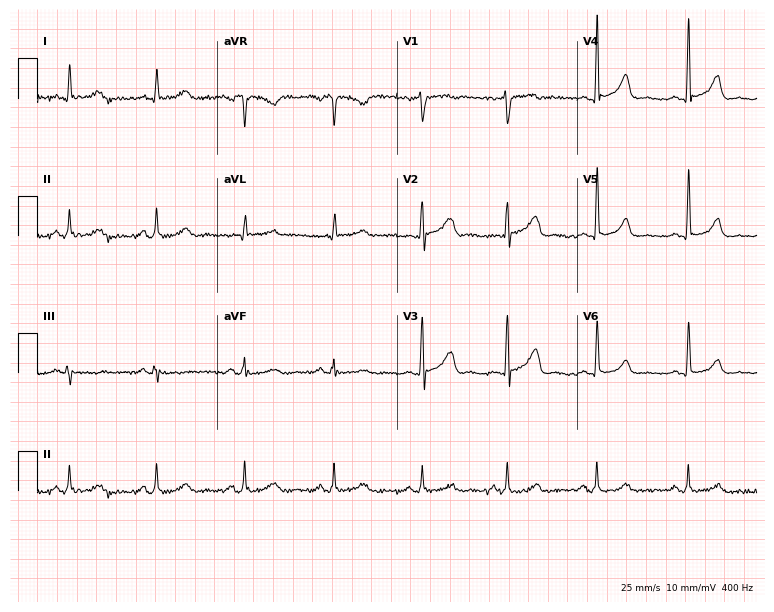
Resting 12-lead electrocardiogram (7.3-second recording at 400 Hz). Patient: a 56-year-old male. None of these six findings is recorded: first-degree AV block, right bundle branch block, left bundle branch block, sinus bradycardia, atrial fibrillation, sinus tachycardia. Other findings, if any, are not listed.